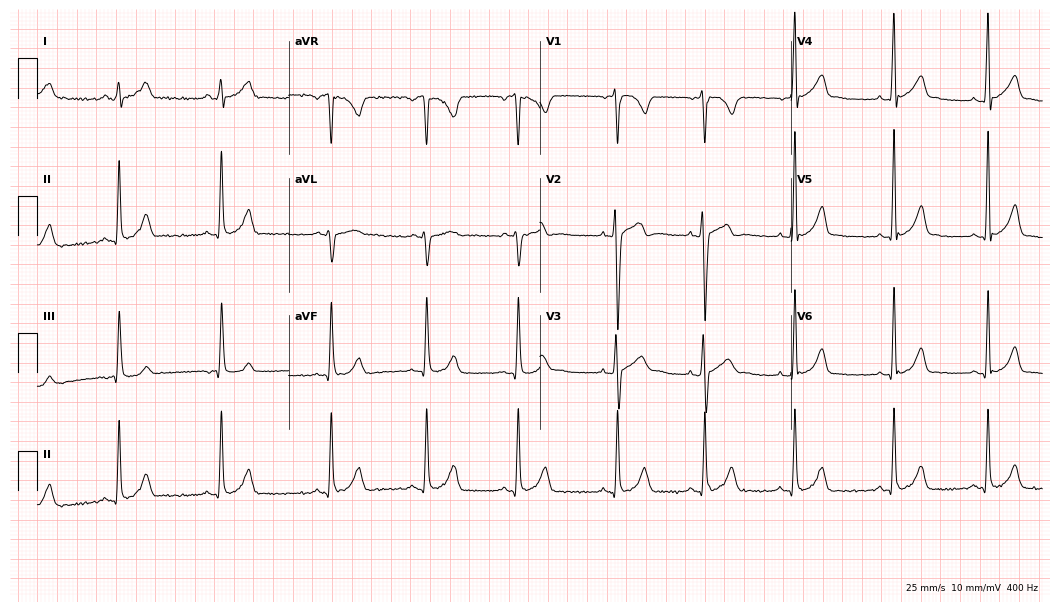
Electrocardiogram (10.2-second recording at 400 Hz), a male, 17 years old. Overall reading on record: normal ECG.